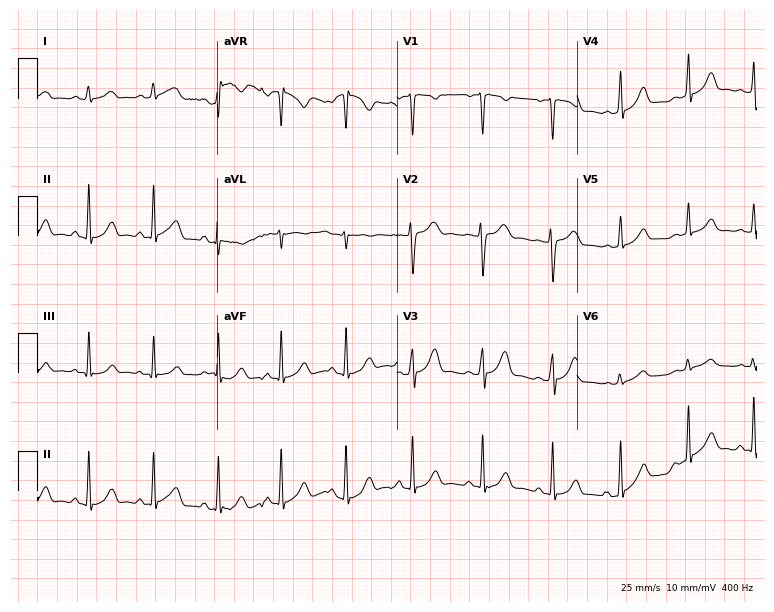
Electrocardiogram, a woman, 19 years old. Of the six screened findings (first-degree AV block, right bundle branch block (RBBB), left bundle branch block (LBBB), sinus bradycardia, atrial fibrillation (AF), sinus tachycardia), none is recorded.